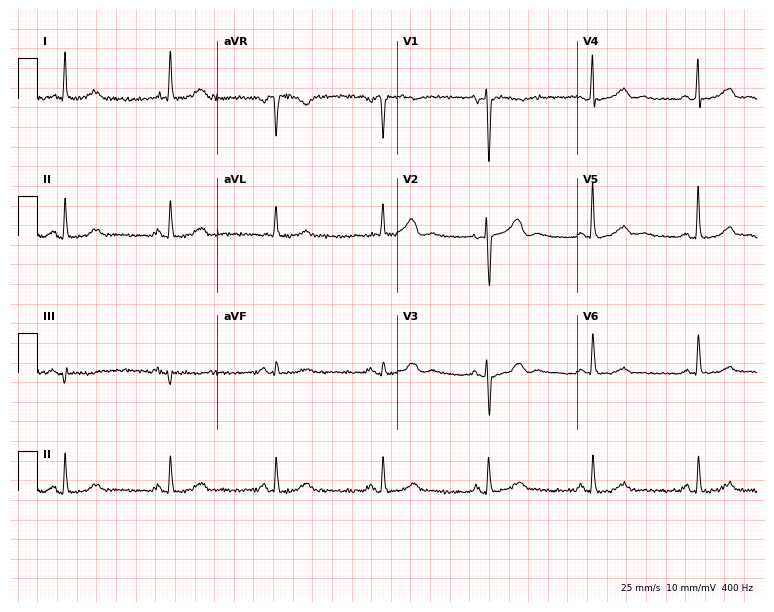
12-lead ECG from a 75-year-old female patient. Labelled as a normal ECG.